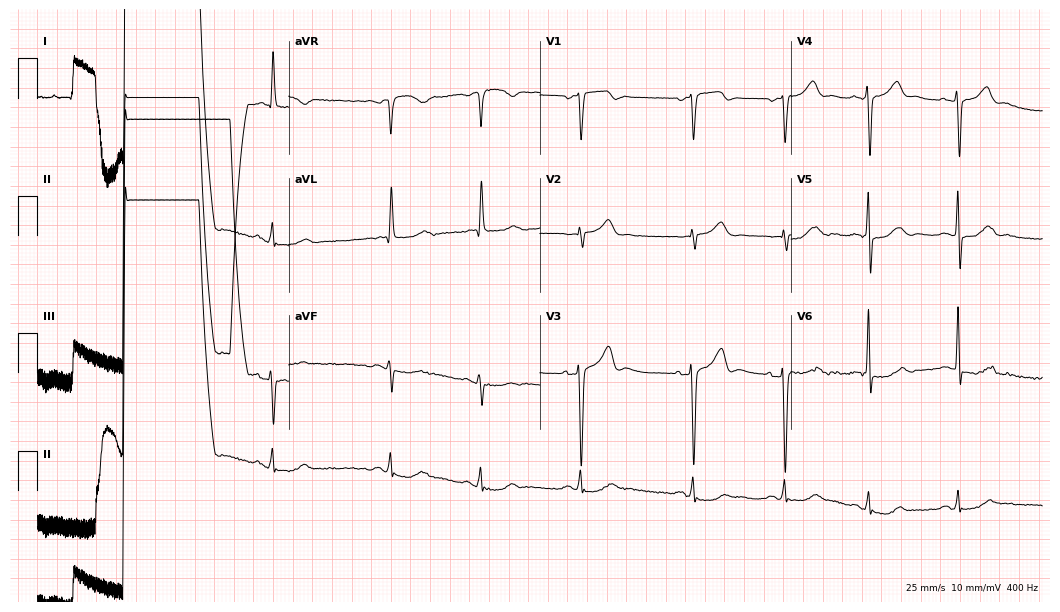
ECG (10.2-second recording at 400 Hz) — a male, 76 years old. Screened for six findings — first-degree AV block, right bundle branch block, left bundle branch block, sinus bradycardia, atrial fibrillation, sinus tachycardia — none is recorded. Other findings, if any, are not listed.